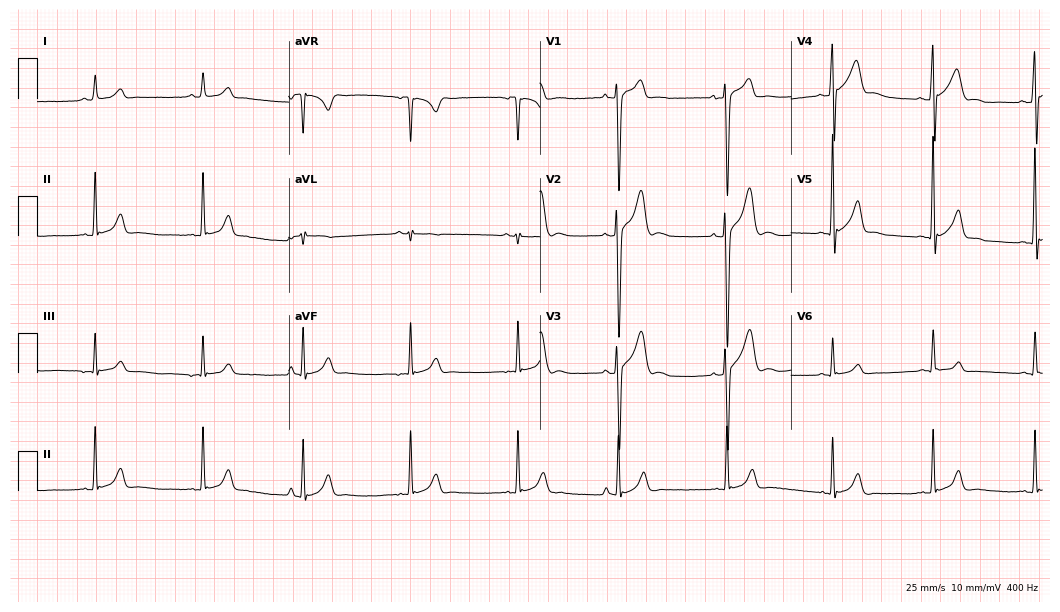
Standard 12-lead ECG recorded from a 22-year-old male patient. Read as a normal ECG.